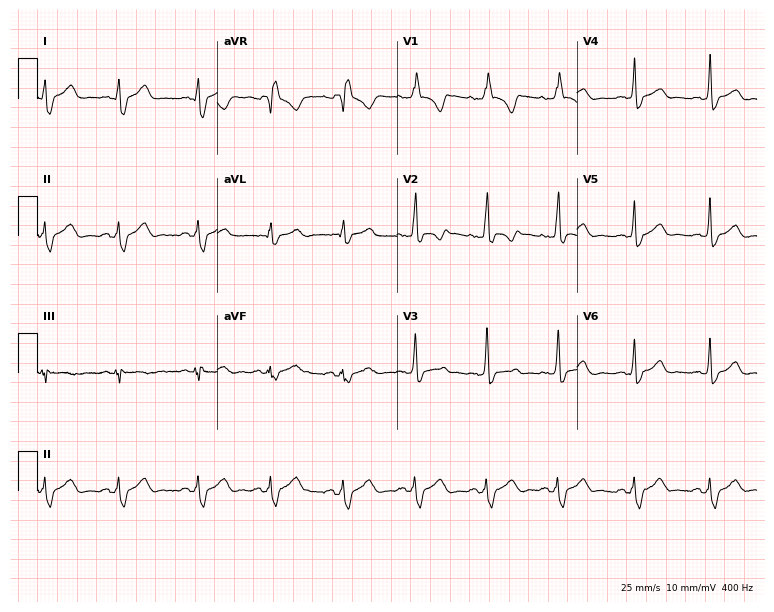
Electrocardiogram (7.3-second recording at 400 Hz), a 36-year-old female patient. Interpretation includes right bundle branch block.